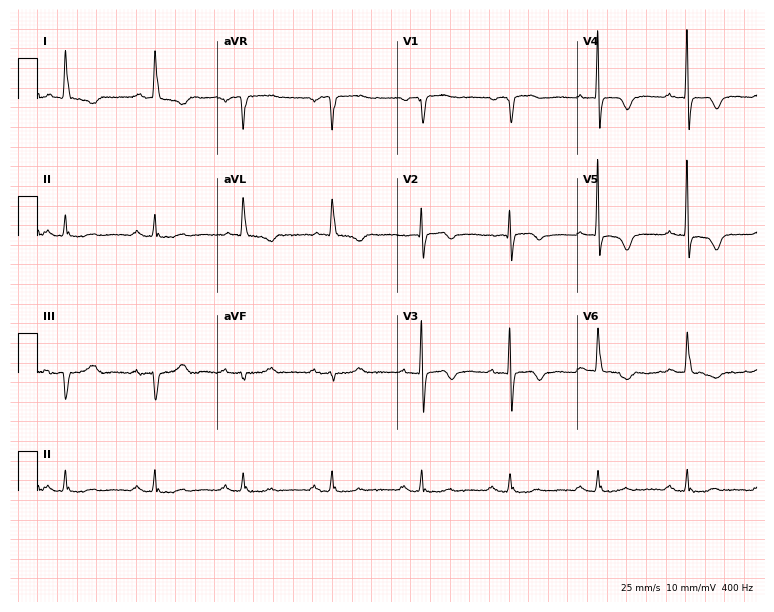
Electrocardiogram (7.3-second recording at 400 Hz), a female, 77 years old. Overall reading on record: normal ECG.